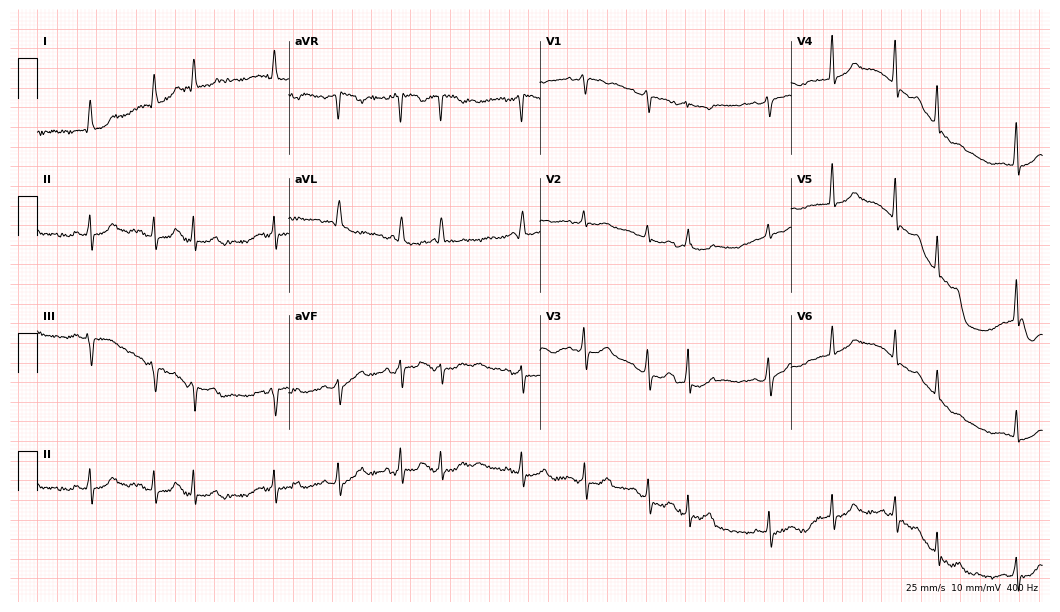
Electrocardiogram (10.2-second recording at 400 Hz), a 79-year-old female. Of the six screened findings (first-degree AV block, right bundle branch block (RBBB), left bundle branch block (LBBB), sinus bradycardia, atrial fibrillation (AF), sinus tachycardia), none is recorded.